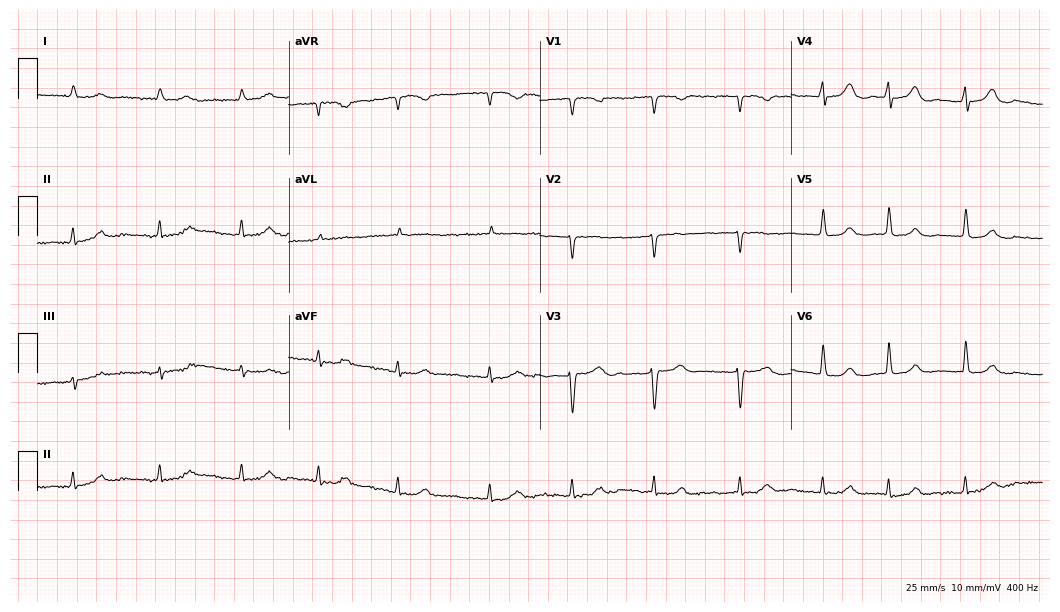
12-lead ECG from a woman, 82 years old (10.2-second recording at 400 Hz). Recorded interpretation: within normal limits.